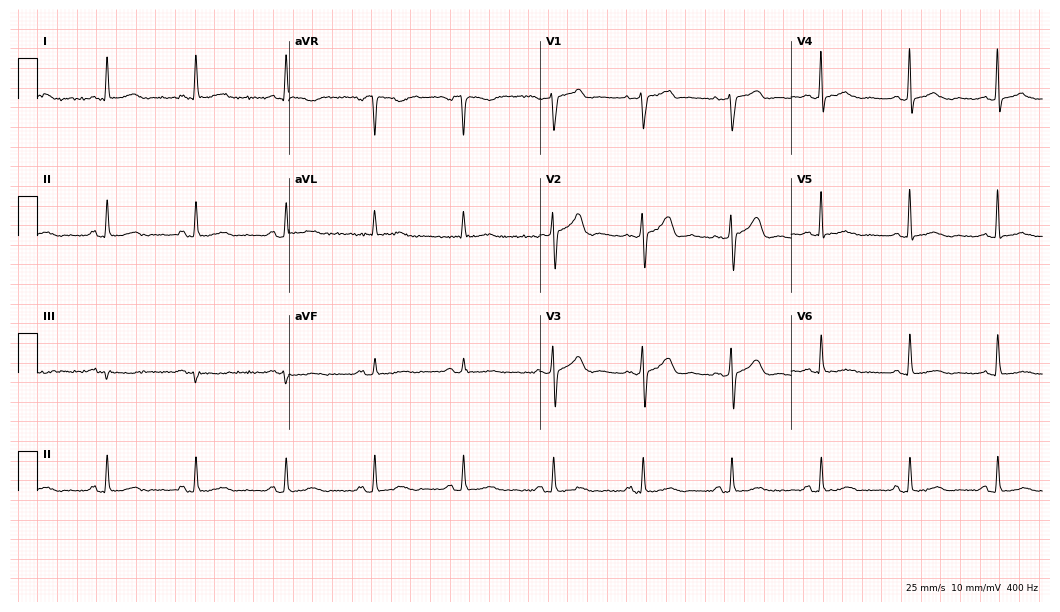
Resting 12-lead electrocardiogram (10.2-second recording at 400 Hz). Patient: a female, 72 years old. Read as a normal ECG.